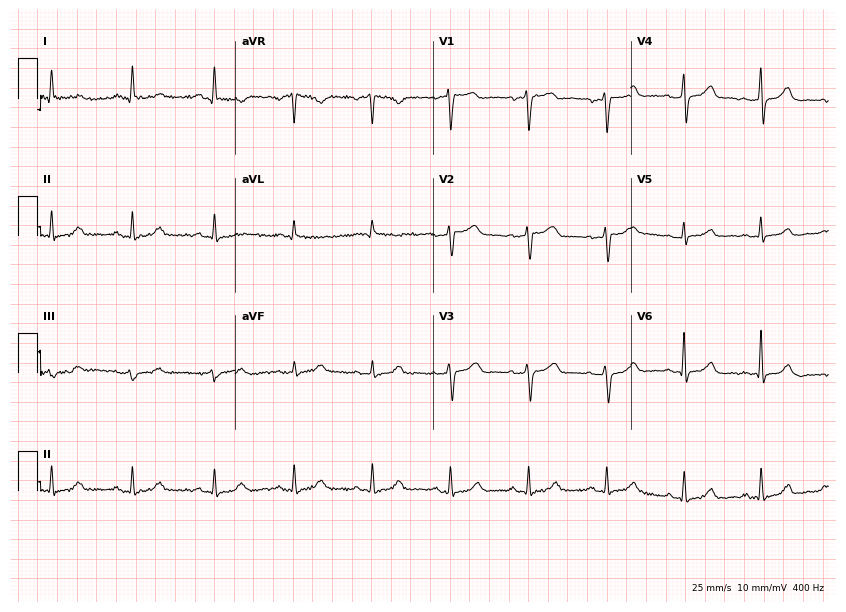
ECG — a 58-year-old female patient. Screened for six findings — first-degree AV block, right bundle branch block (RBBB), left bundle branch block (LBBB), sinus bradycardia, atrial fibrillation (AF), sinus tachycardia — none is recorded.